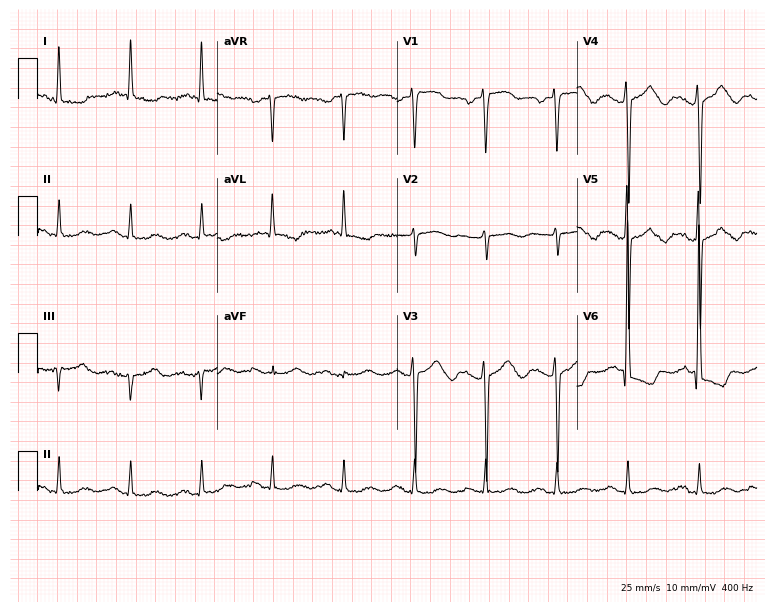
Resting 12-lead electrocardiogram (7.3-second recording at 400 Hz). Patient: a male, 75 years old. None of these six findings is recorded: first-degree AV block, right bundle branch block (RBBB), left bundle branch block (LBBB), sinus bradycardia, atrial fibrillation (AF), sinus tachycardia. Findings outside these six are not listed.